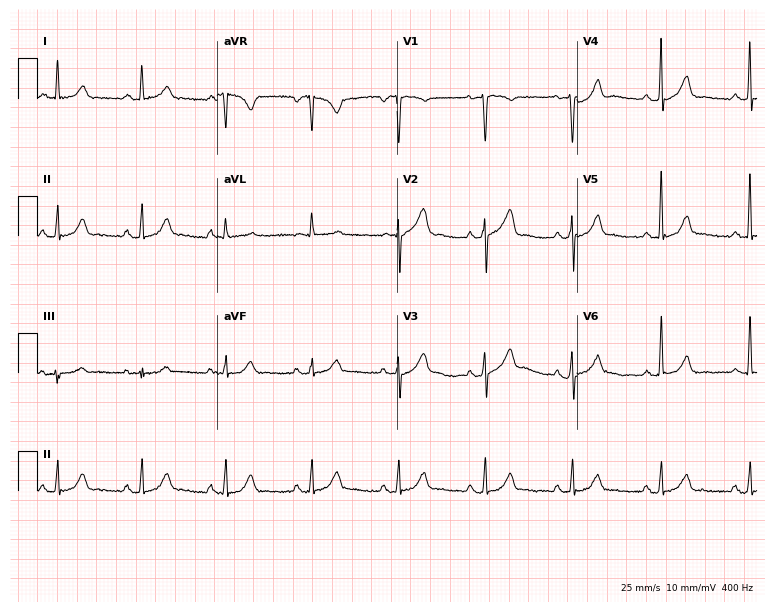
Electrocardiogram, a male patient, 68 years old. Overall reading on record: normal ECG.